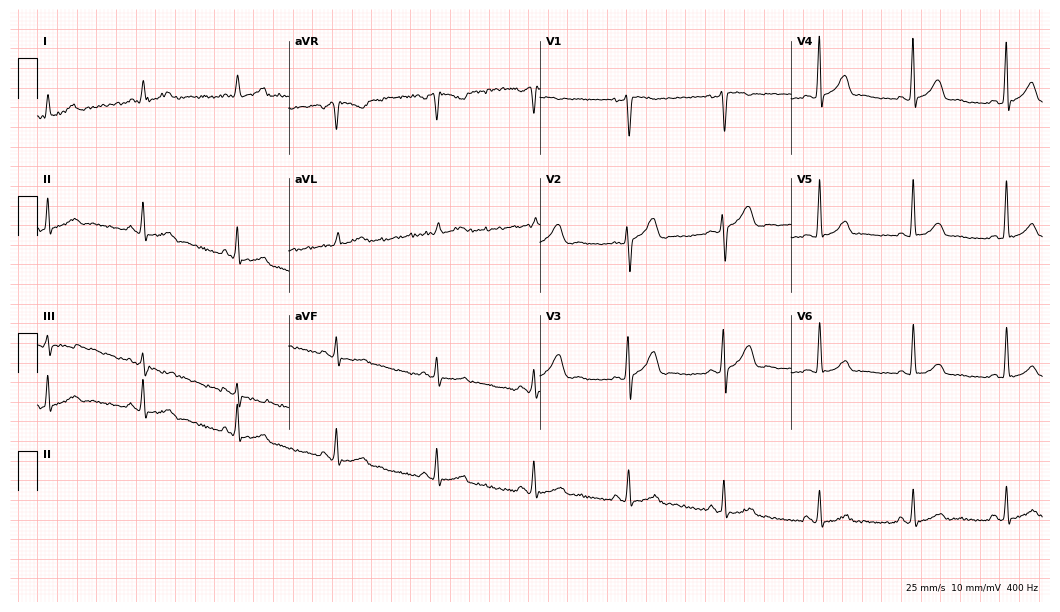
Standard 12-lead ECG recorded from a 59-year-old male (10.2-second recording at 400 Hz). Read as a normal ECG.